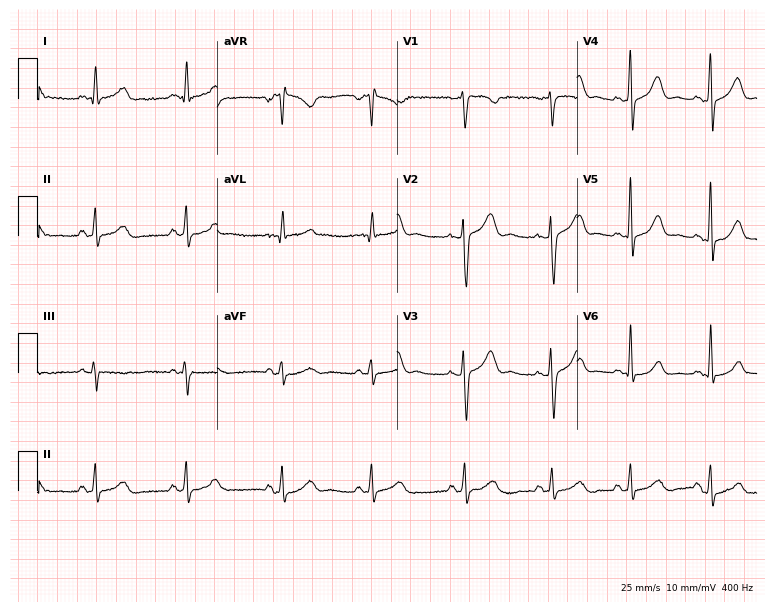
Standard 12-lead ECG recorded from a 35-year-old female patient. Read as a normal ECG.